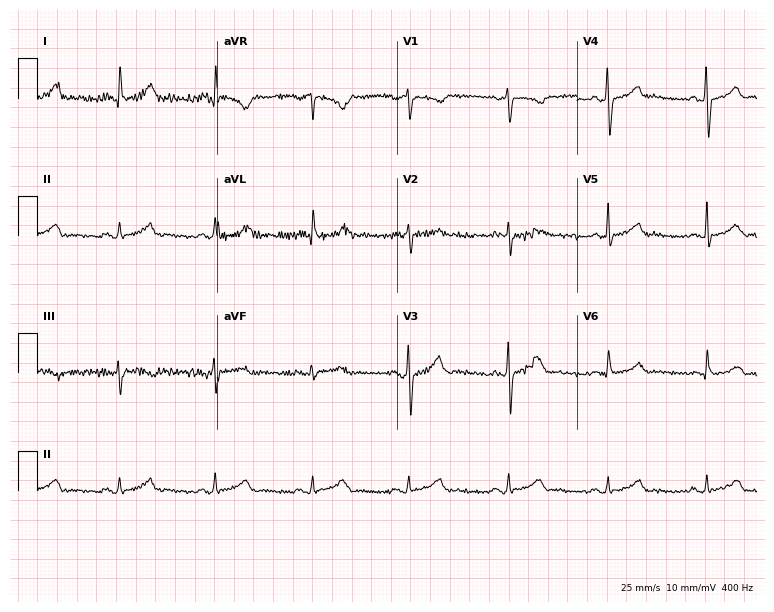
ECG — a 56-year-old female. Screened for six findings — first-degree AV block, right bundle branch block, left bundle branch block, sinus bradycardia, atrial fibrillation, sinus tachycardia — none is recorded.